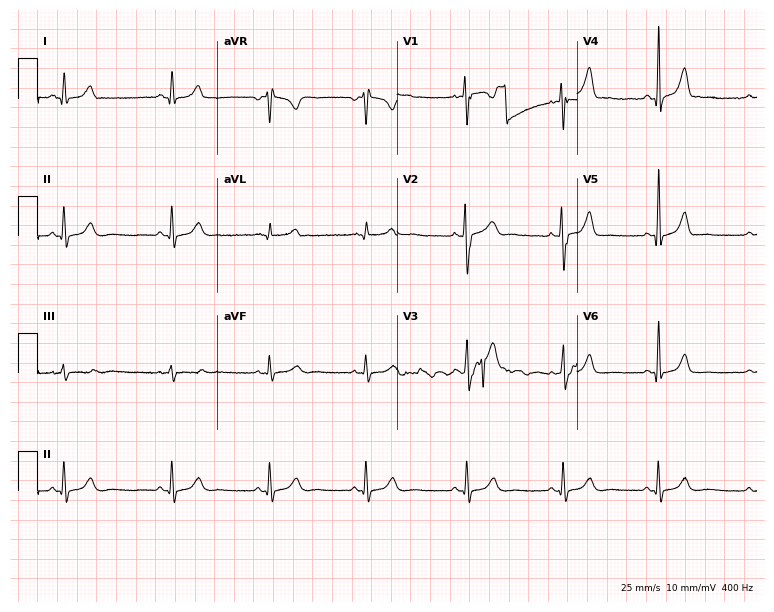
Resting 12-lead electrocardiogram (7.3-second recording at 400 Hz). Patient: a female, 28 years old. Read as a normal ECG.